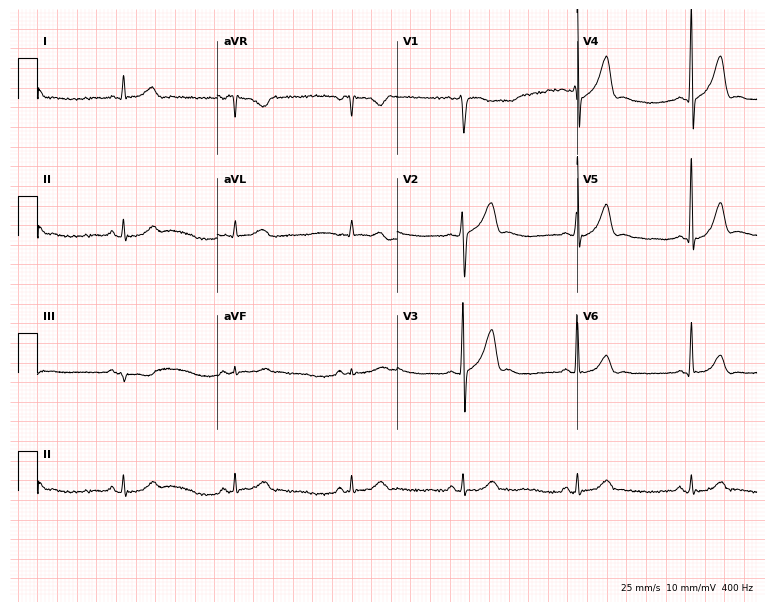
ECG — a 50-year-old male patient. Screened for six findings — first-degree AV block, right bundle branch block (RBBB), left bundle branch block (LBBB), sinus bradycardia, atrial fibrillation (AF), sinus tachycardia — none is recorded.